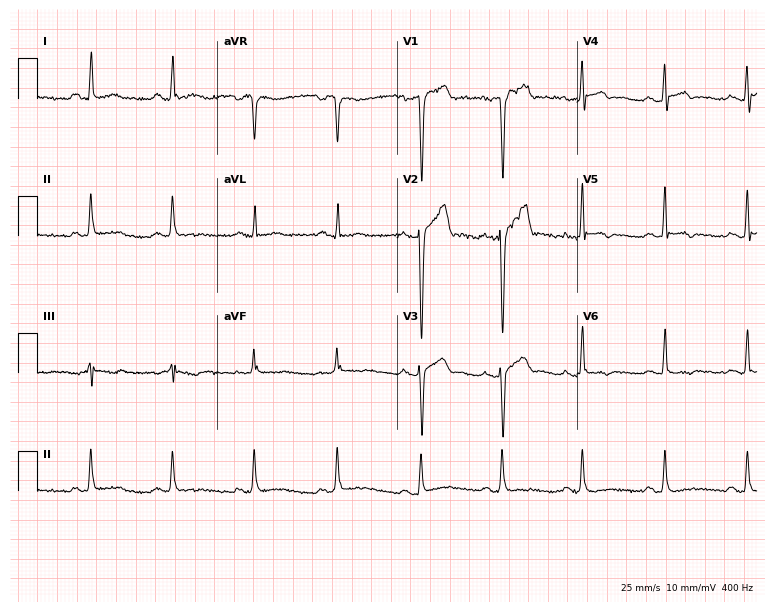
Electrocardiogram (7.3-second recording at 400 Hz), a 56-year-old male. Of the six screened findings (first-degree AV block, right bundle branch block, left bundle branch block, sinus bradycardia, atrial fibrillation, sinus tachycardia), none is recorded.